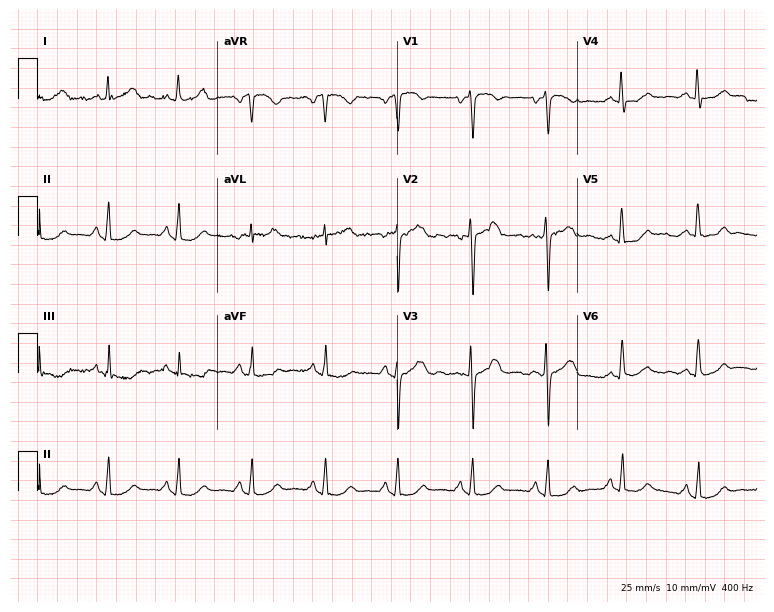
Resting 12-lead electrocardiogram (7.3-second recording at 400 Hz). Patient: a female, 56 years old. Read as a normal ECG.